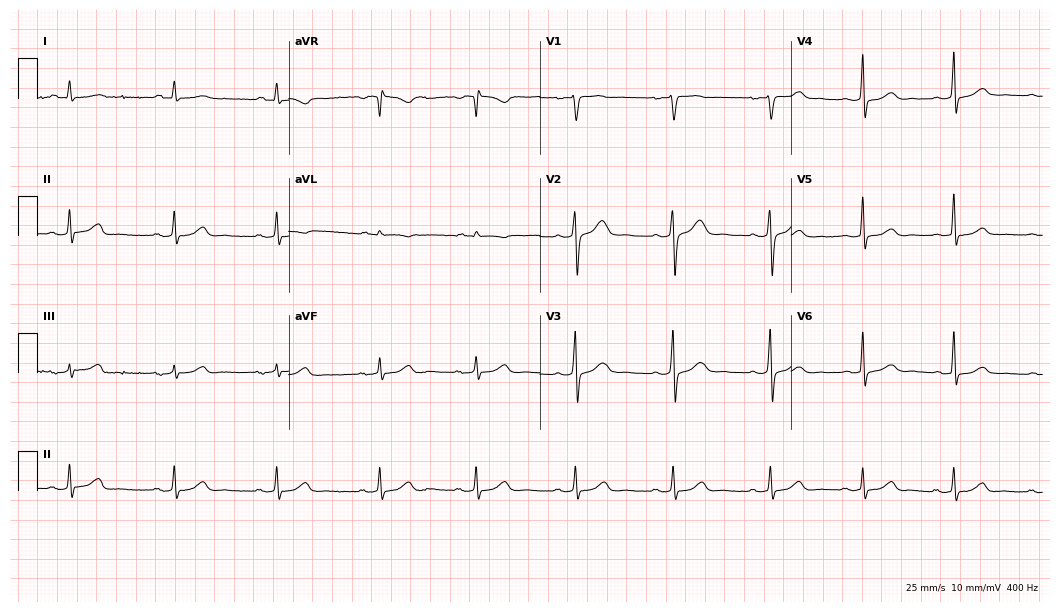
12-lead ECG from a woman, 45 years old (10.2-second recording at 400 Hz). Recorded interpretation: within normal limits.